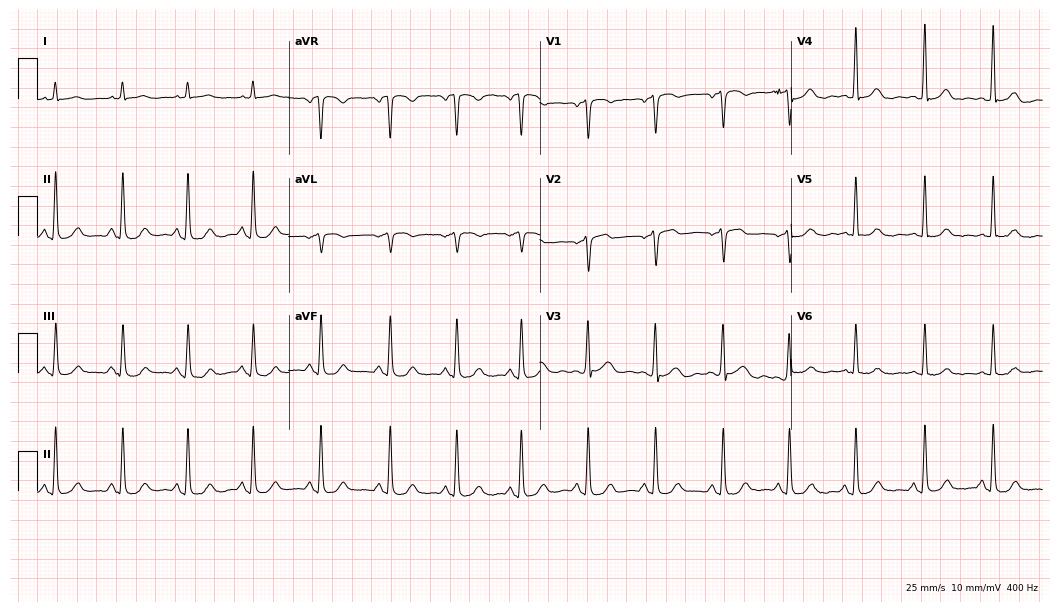
12-lead ECG from a male, 57 years old (10.2-second recording at 400 Hz). Recorded interpretation: within normal limits.